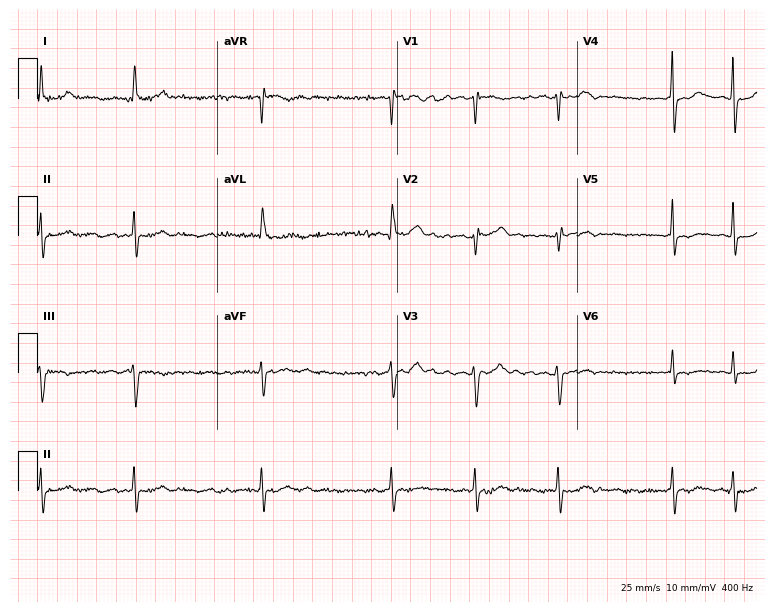
ECG (7.3-second recording at 400 Hz) — an 80-year-old female patient. Findings include atrial fibrillation.